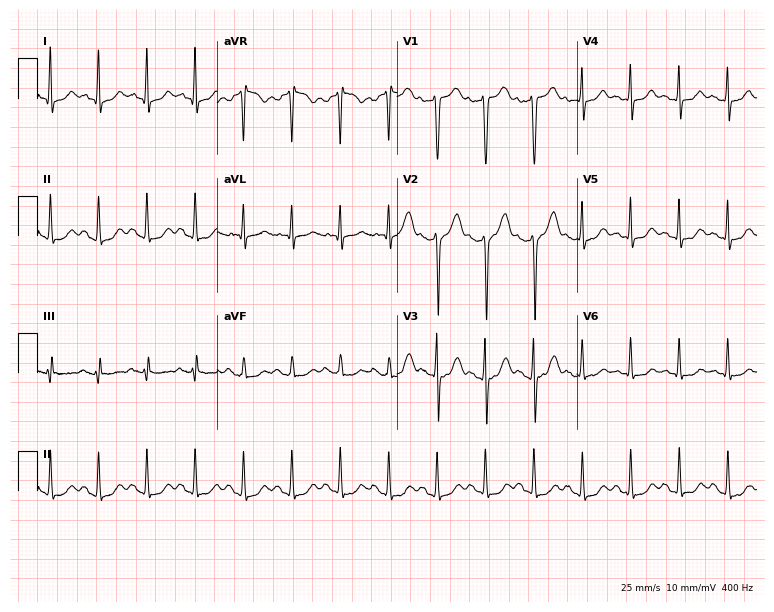
ECG (7.3-second recording at 400 Hz) — a 38-year-old male. Findings include sinus tachycardia (a sinus rate of 100 beats per minute or more).